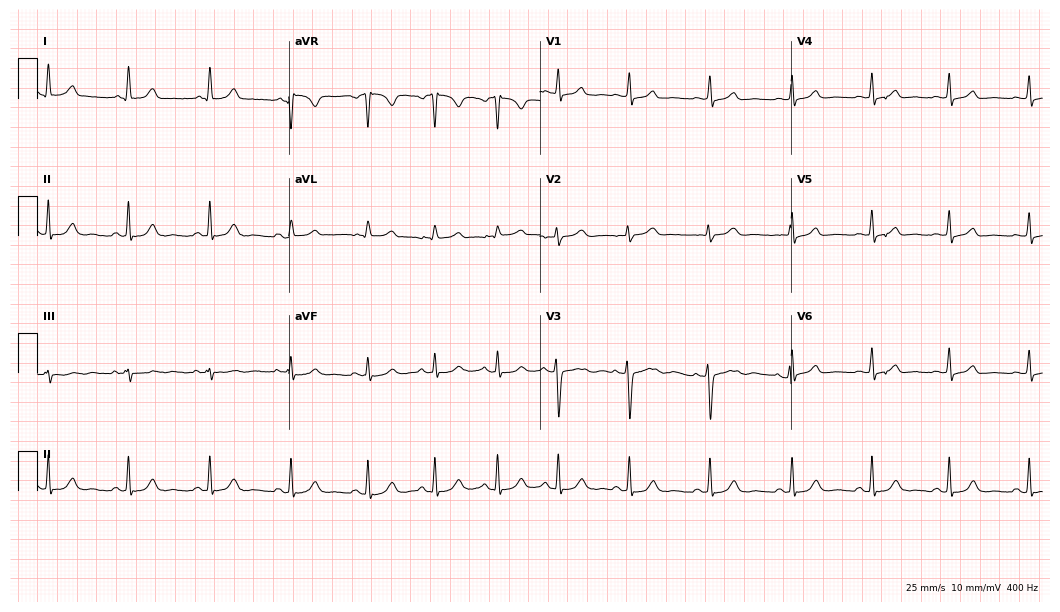
Standard 12-lead ECG recorded from a 30-year-old female patient (10.2-second recording at 400 Hz). Read as a normal ECG.